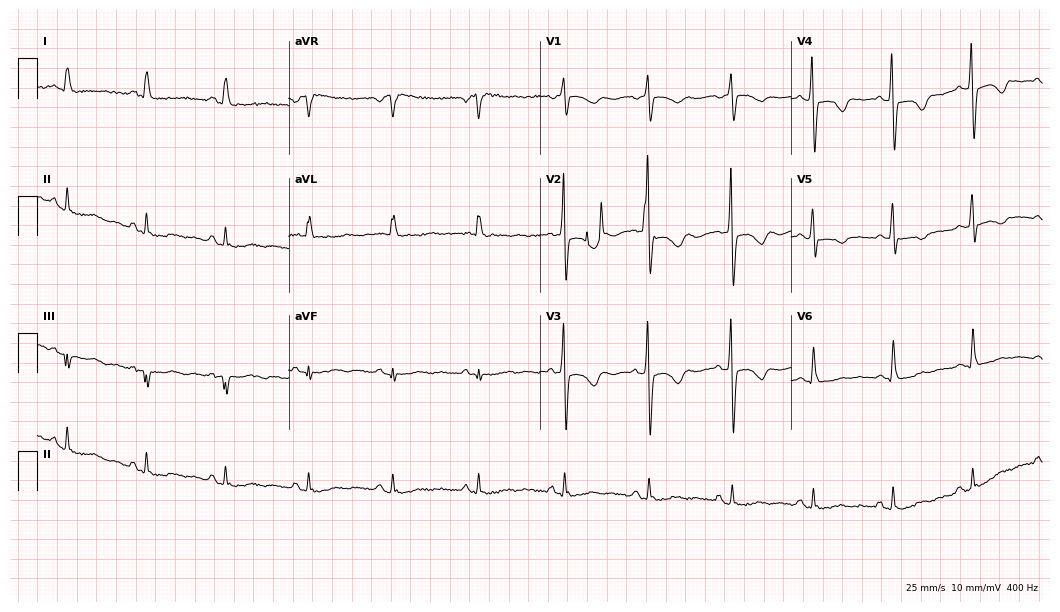
Electrocardiogram, a female, 50 years old. Of the six screened findings (first-degree AV block, right bundle branch block, left bundle branch block, sinus bradycardia, atrial fibrillation, sinus tachycardia), none is recorded. Findings outside these six are not listed.